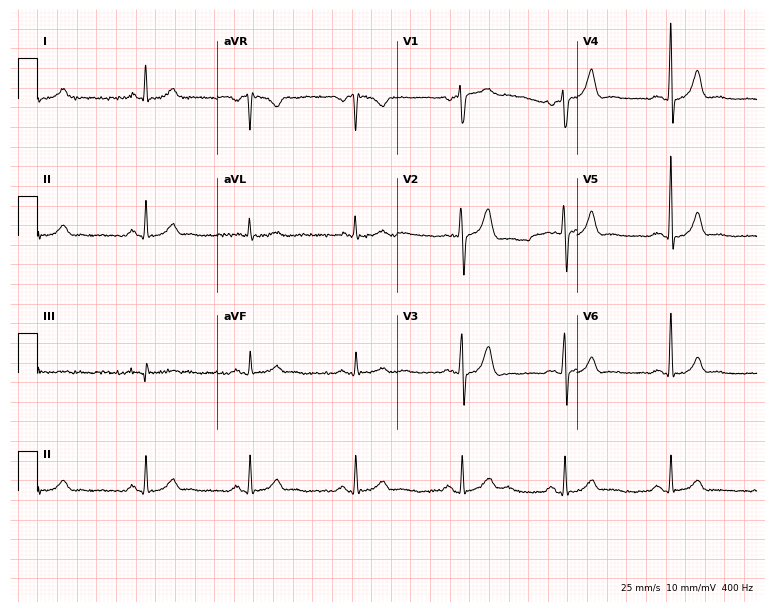
12-lead ECG from a 58-year-old male. Labelled as a normal ECG.